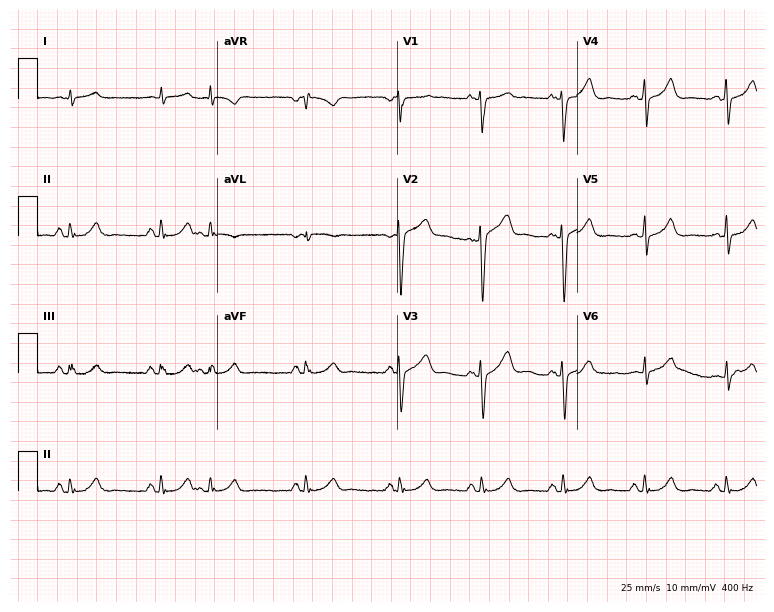
Standard 12-lead ECG recorded from a man, 63 years old (7.3-second recording at 400 Hz). Read as a normal ECG.